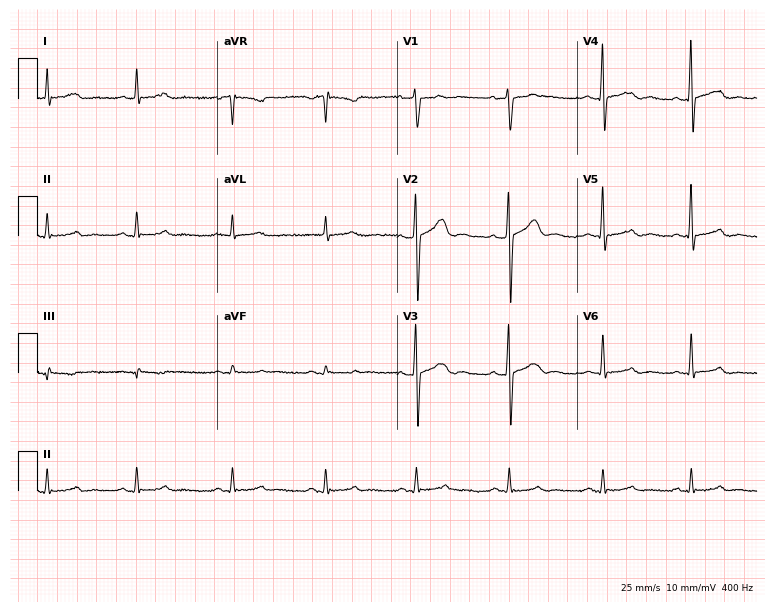
12-lead ECG from a man, 39 years old. Labelled as a normal ECG.